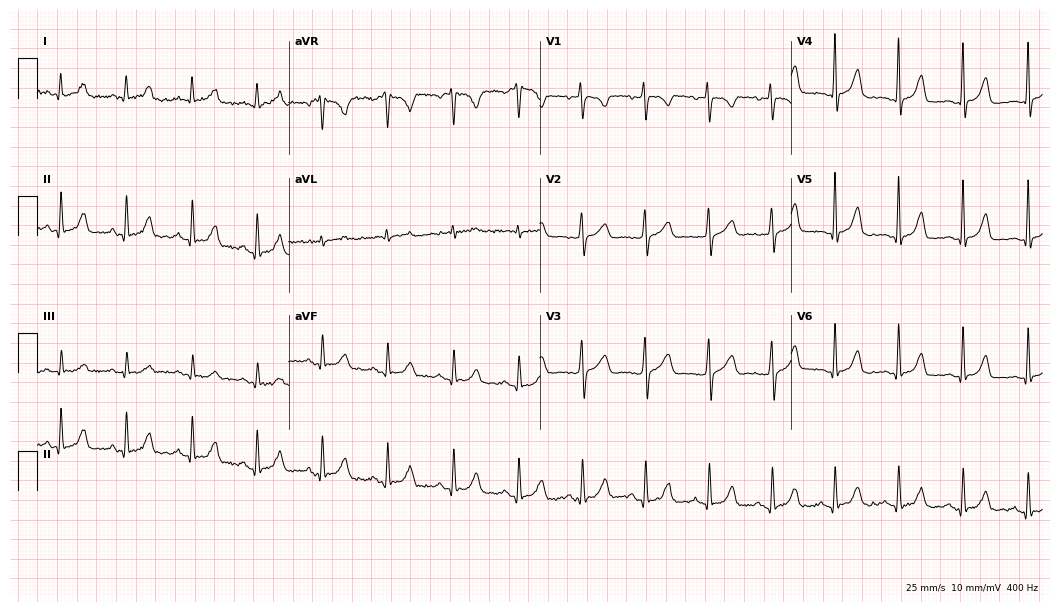
ECG — a female, 24 years old. Labelled as a normal ECG.